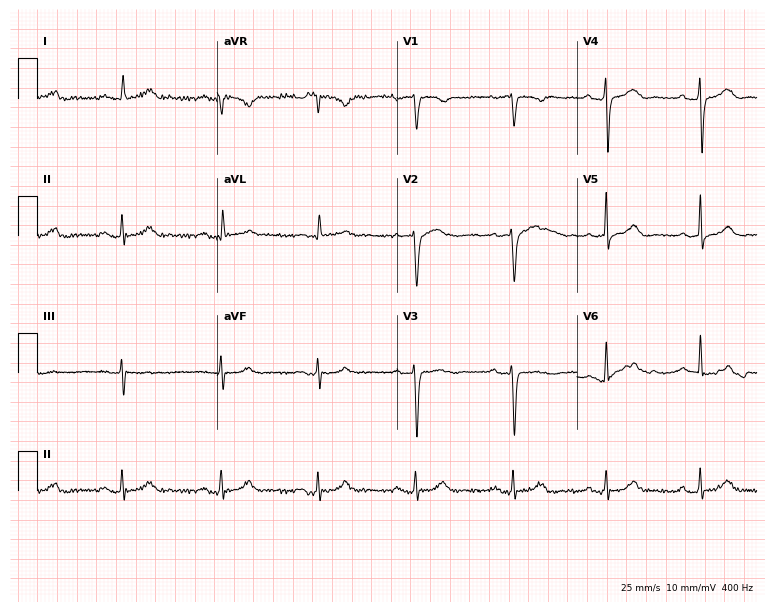
Standard 12-lead ECG recorded from a 76-year-old female. Read as a normal ECG.